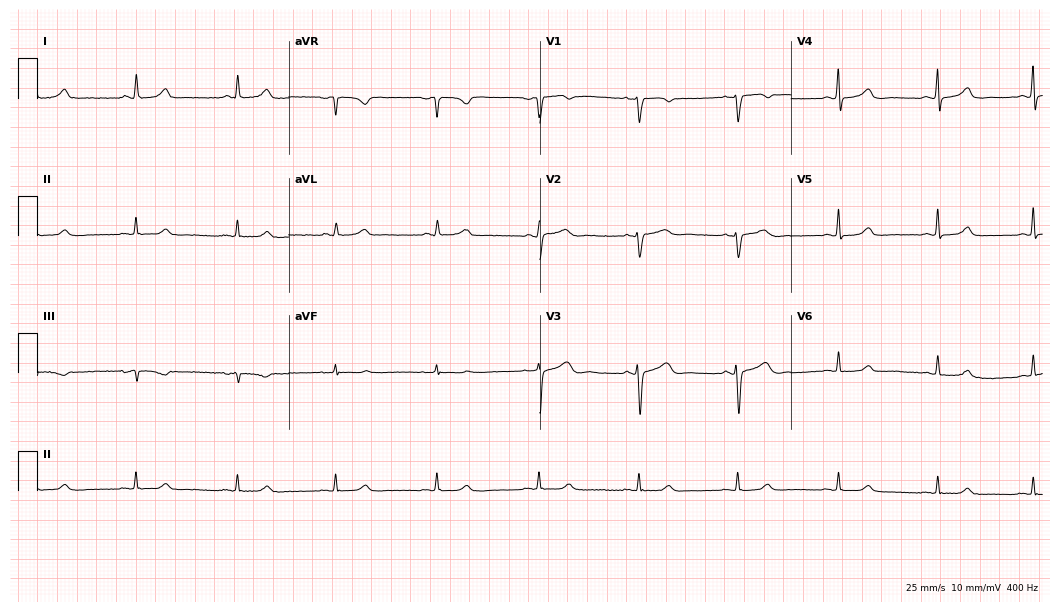
ECG — a female, 57 years old. Labelled as a normal ECG.